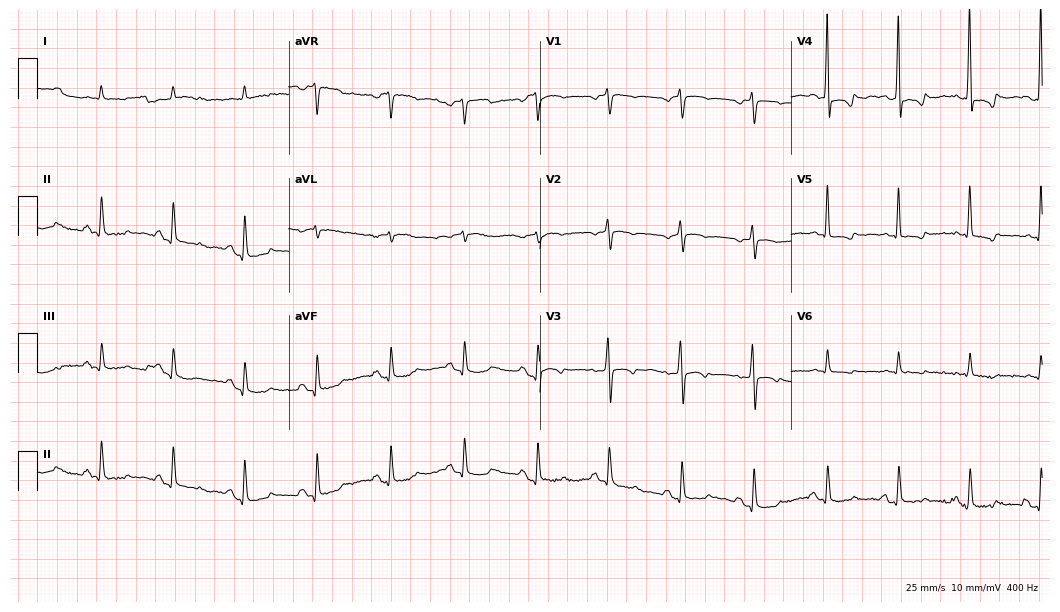
Resting 12-lead electrocardiogram (10.2-second recording at 400 Hz). Patient: a woman, 76 years old. None of these six findings is recorded: first-degree AV block, right bundle branch block, left bundle branch block, sinus bradycardia, atrial fibrillation, sinus tachycardia.